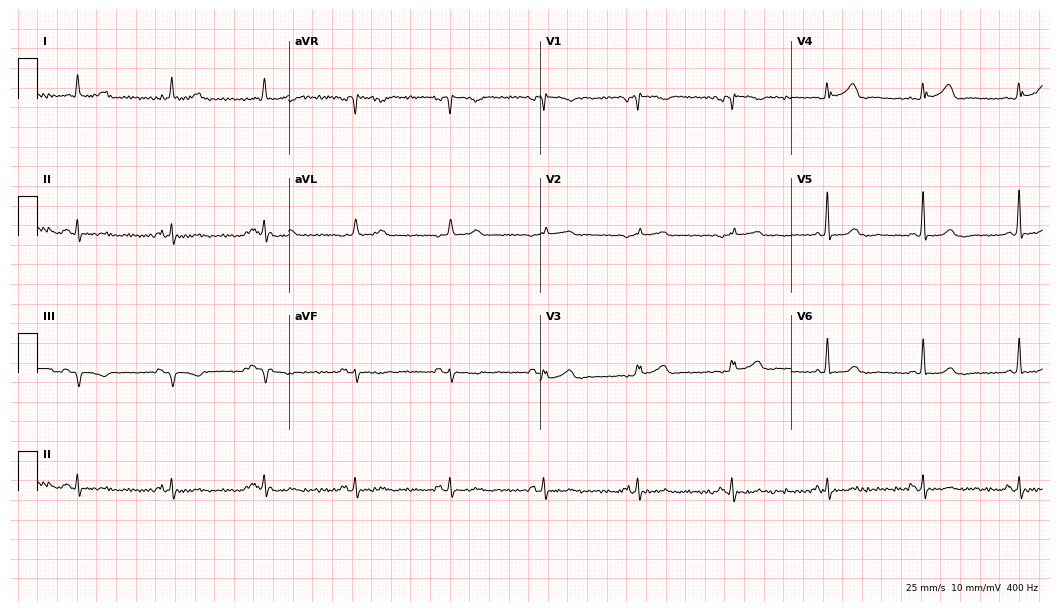
Resting 12-lead electrocardiogram (10.2-second recording at 400 Hz). Patient: a female, 84 years old. Read as a normal ECG.